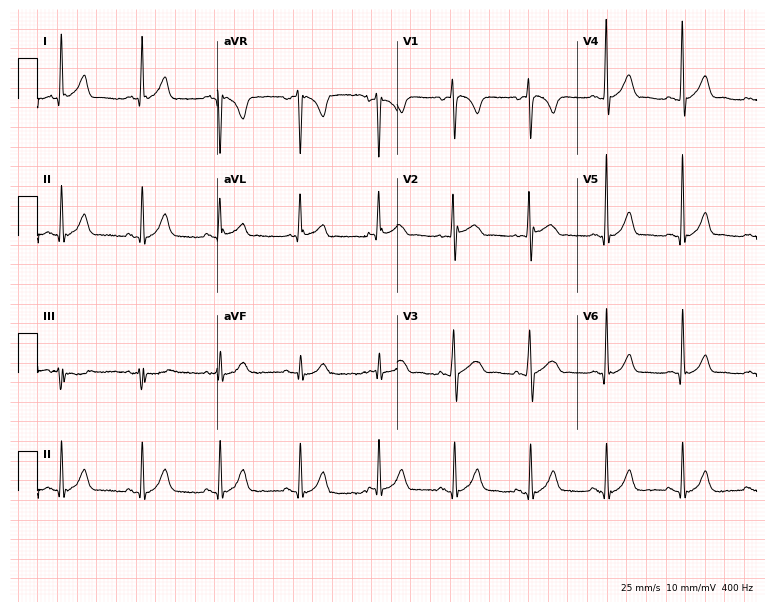
ECG — a 25-year-old male patient. Labelled as a normal ECG.